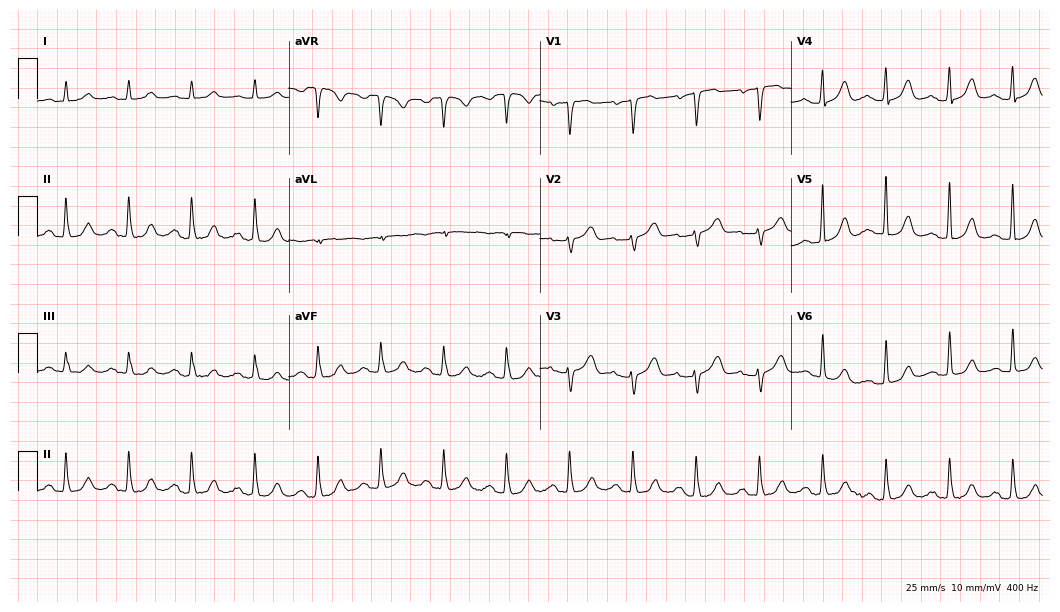
Standard 12-lead ECG recorded from a 74-year-old woman (10.2-second recording at 400 Hz). None of these six findings is recorded: first-degree AV block, right bundle branch block, left bundle branch block, sinus bradycardia, atrial fibrillation, sinus tachycardia. Other findings, if any, are not listed.